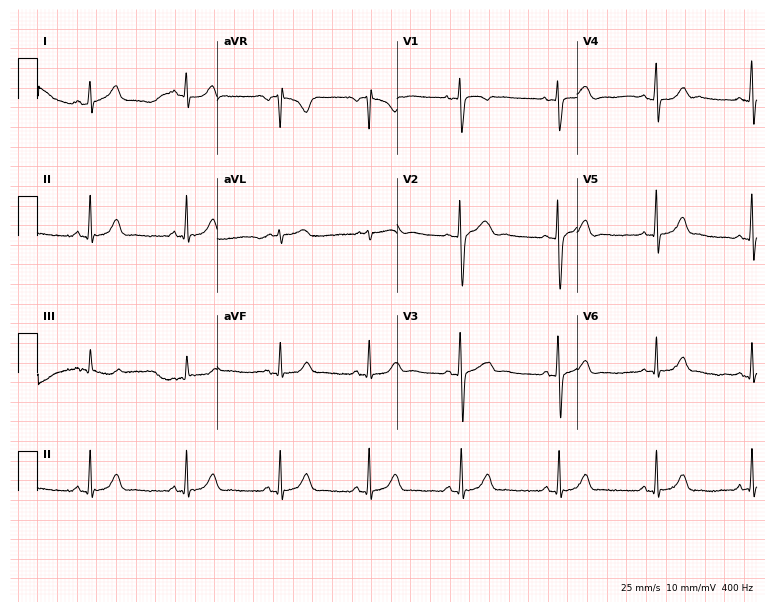
12-lead ECG from a 23-year-old female (7.3-second recording at 400 Hz). Recorded interpretation: within normal limits.